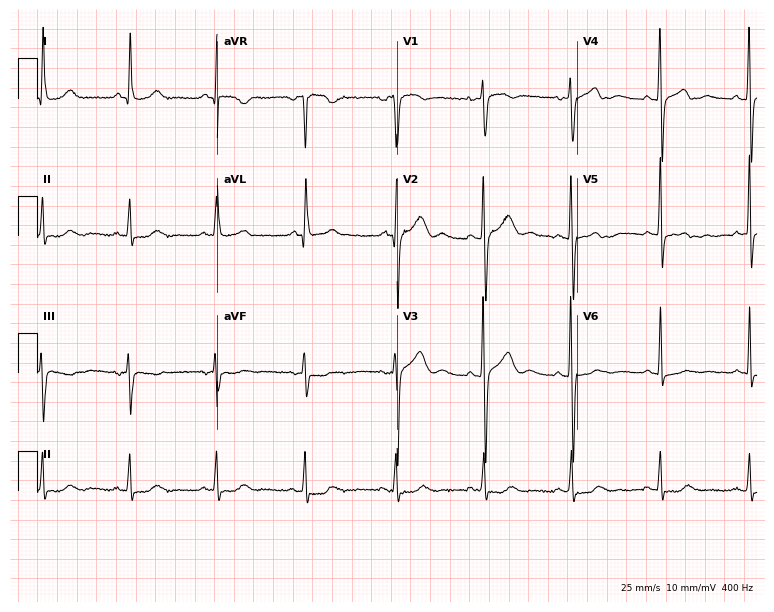
12-lead ECG from a woman, 58 years old (7.3-second recording at 400 Hz). Recorded interpretation: within normal limits.